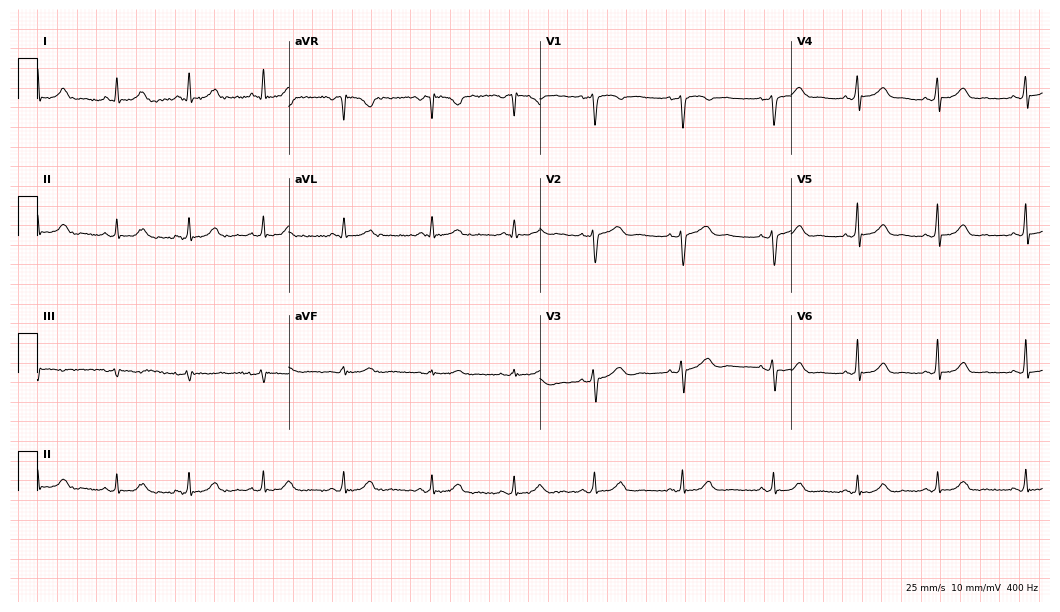
Standard 12-lead ECG recorded from a 41-year-old female patient (10.2-second recording at 400 Hz). Read as a normal ECG.